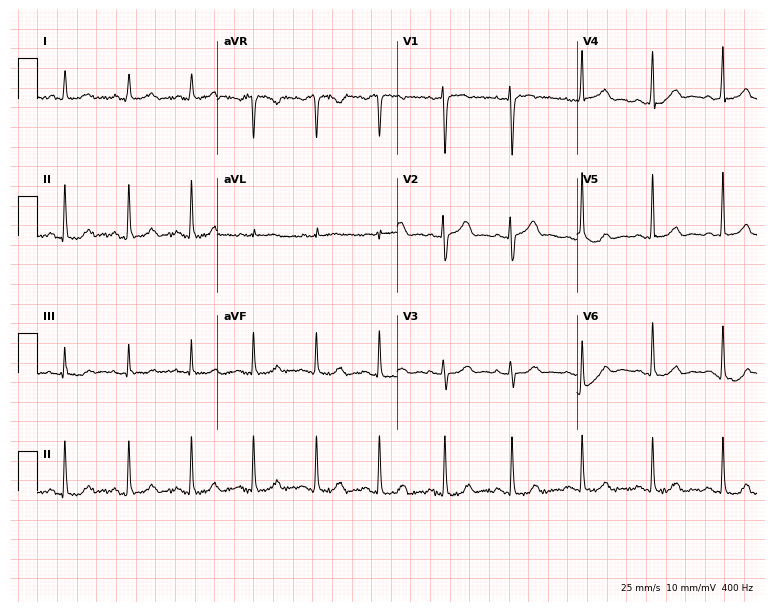
Standard 12-lead ECG recorded from a 44-year-old female patient (7.3-second recording at 400 Hz). Read as a normal ECG.